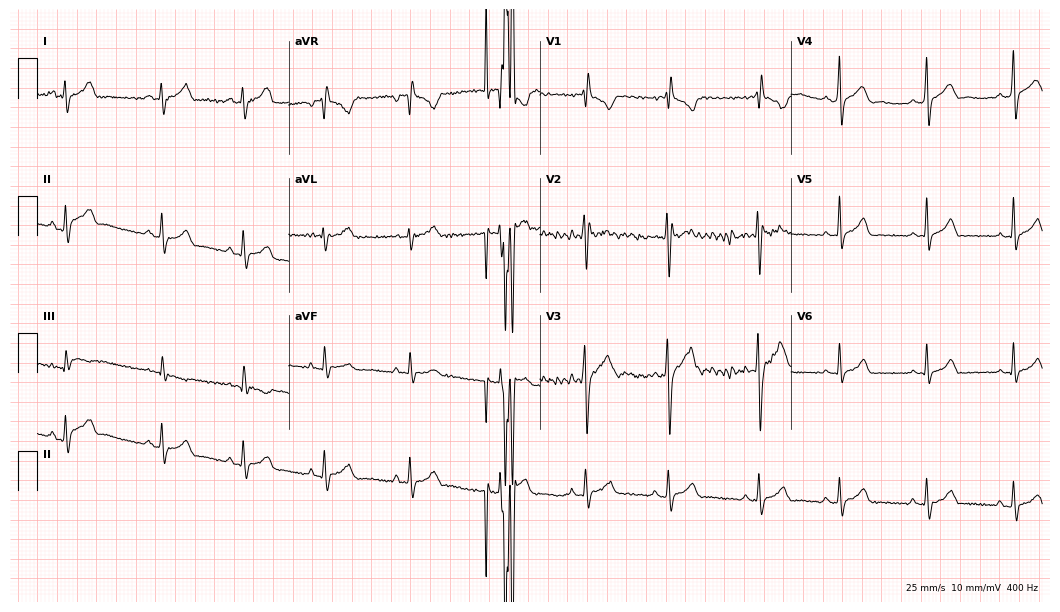
12-lead ECG from a man, 17 years old. Screened for six findings — first-degree AV block, right bundle branch block, left bundle branch block, sinus bradycardia, atrial fibrillation, sinus tachycardia — none is recorded.